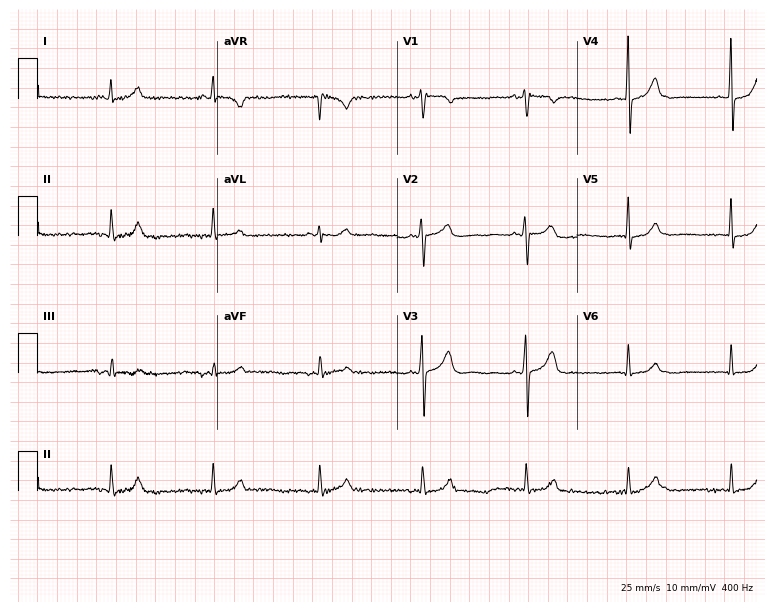
ECG — a 48-year-old man. Screened for six findings — first-degree AV block, right bundle branch block (RBBB), left bundle branch block (LBBB), sinus bradycardia, atrial fibrillation (AF), sinus tachycardia — none is recorded.